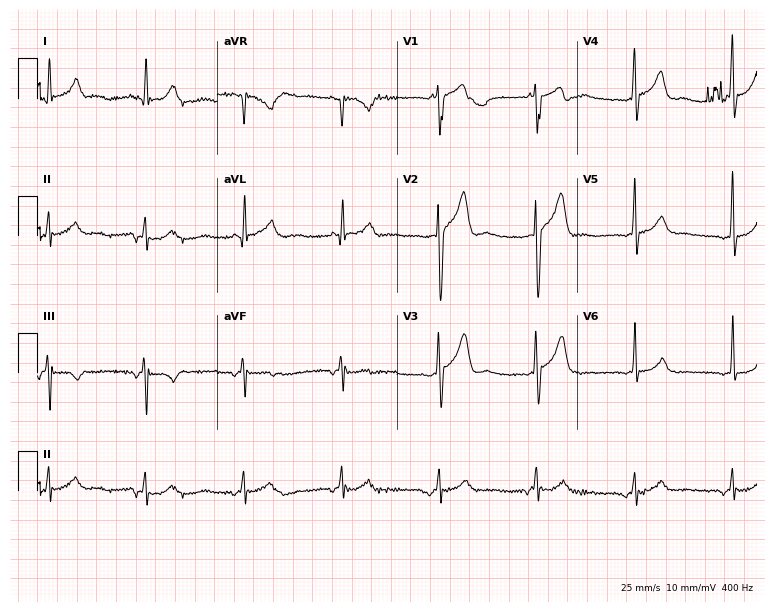
Electrocardiogram (7.3-second recording at 400 Hz), a 60-year-old male. Of the six screened findings (first-degree AV block, right bundle branch block, left bundle branch block, sinus bradycardia, atrial fibrillation, sinus tachycardia), none is recorded.